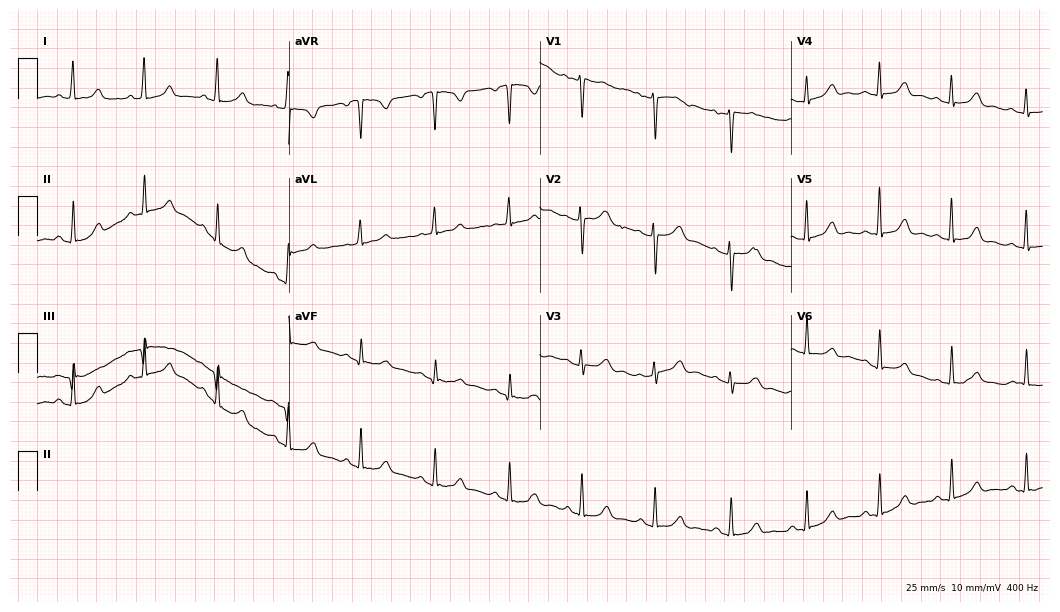
ECG — a female patient, 32 years old. Labelled as a normal ECG.